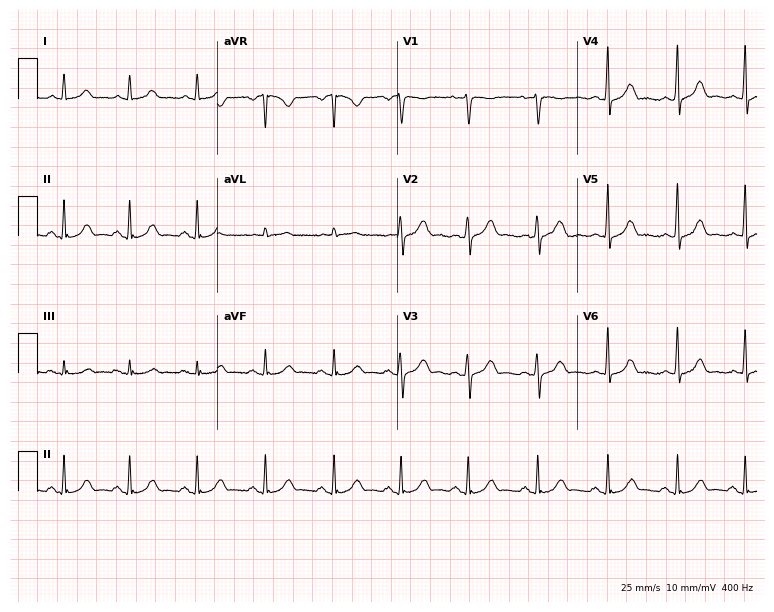
Electrocardiogram (7.3-second recording at 400 Hz), a female patient, 51 years old. Overall reading on record: normal ECG.